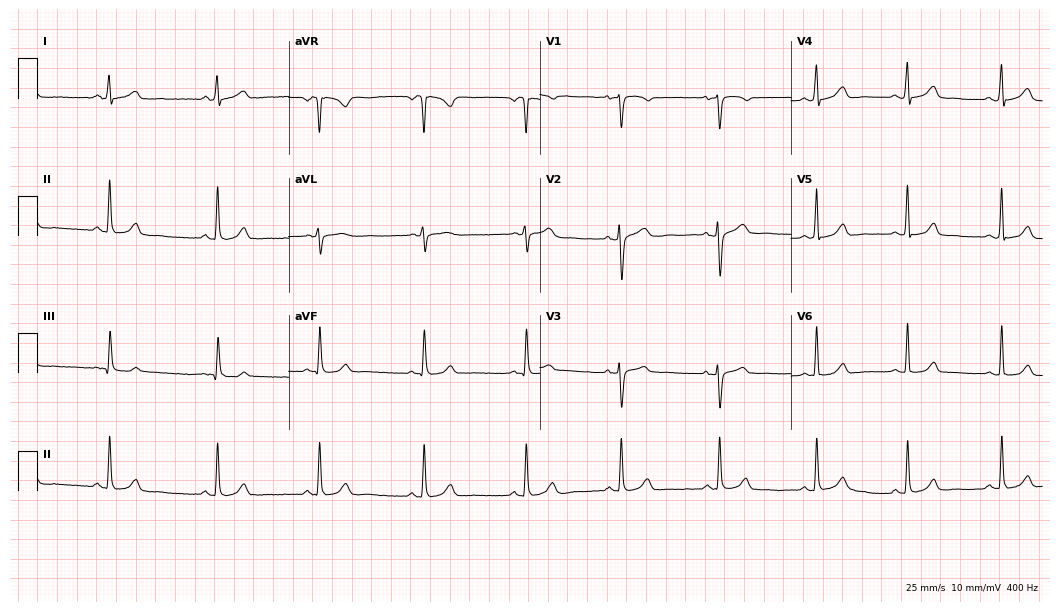
Resting 12-lead electrocardiogram. Patient: a woman, 42 years old. Read as a normal ECG.